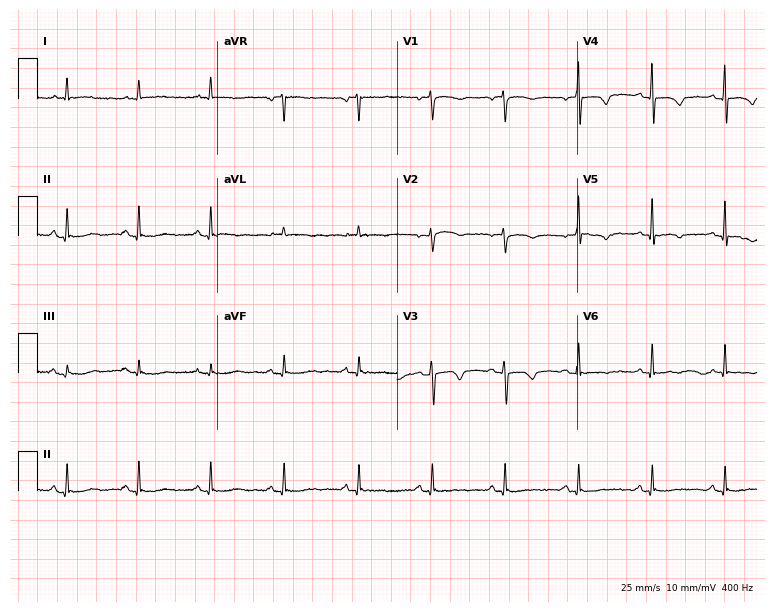
12-lead ECG from a 59-year-old woman (7.3-second recording at 400 Hz). No first-degree AV block, right bundle branch block (RBBB), left bundle branch block (LBBB), sinus bradycardia, atrial fibrillation (AF) or sinus tachycardia recorded for this tracing.